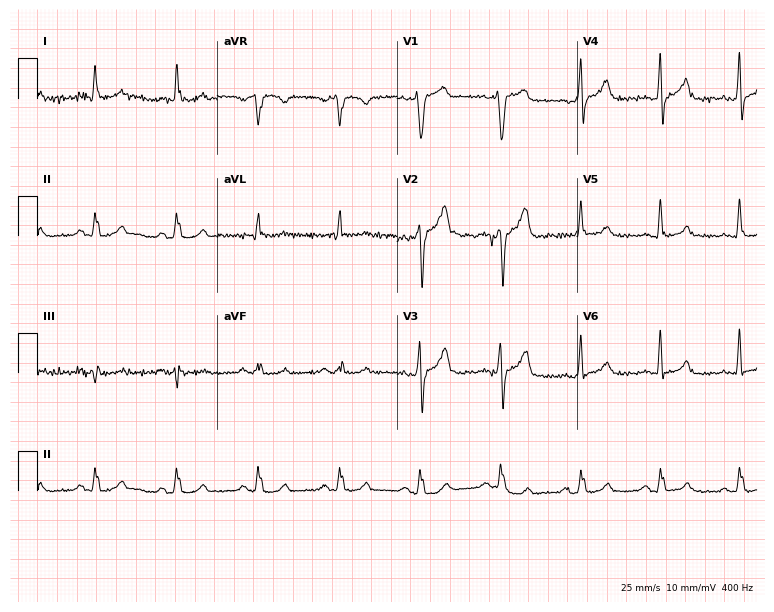
Resting 12-lead electrocardiogram (7.3-second recording at 400 Hz). Patient: a 50-year-old male. Read as a normal ECG.